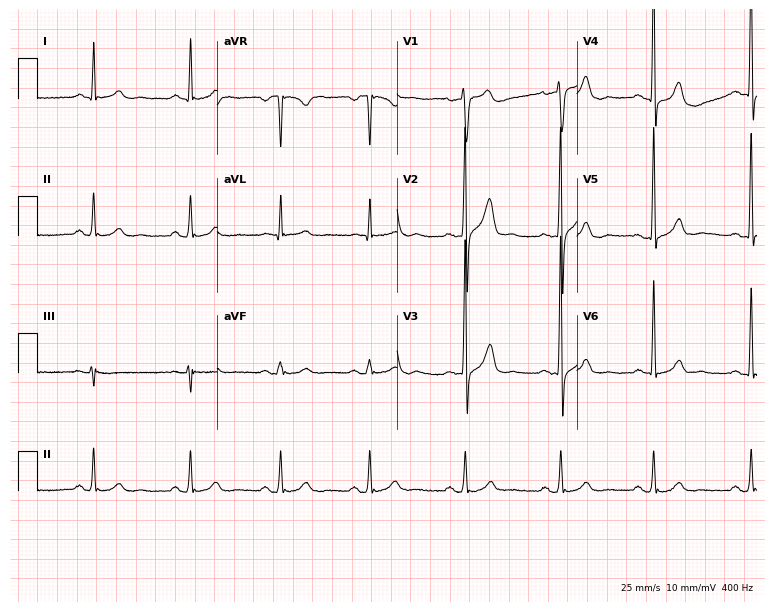
12-lead ECG from a male patient, 48 years old. Recorded interpretation: within normal limits.